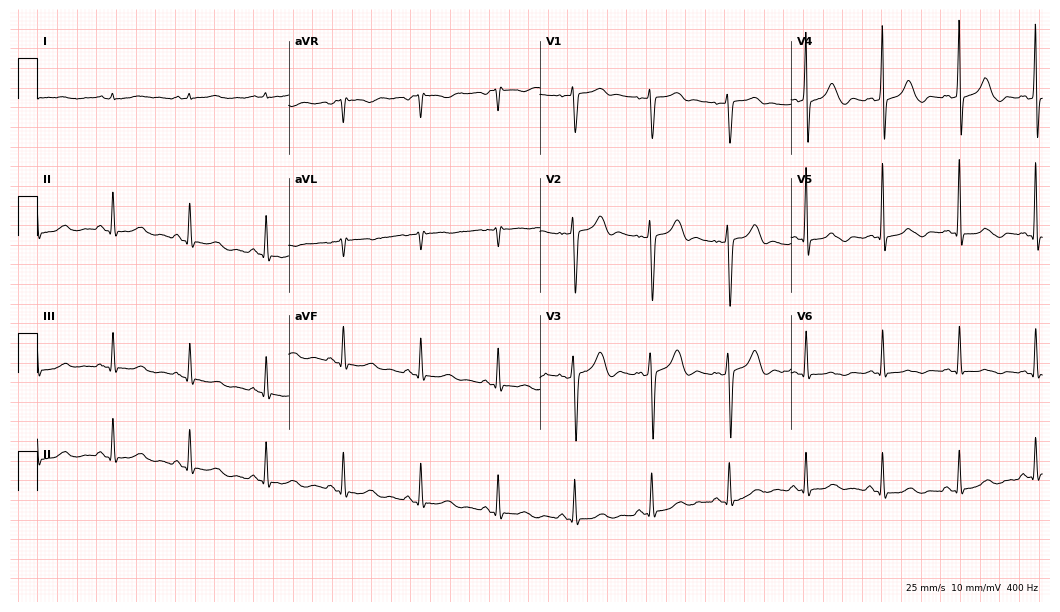
ECG (10.2-second recording at 400 Hz) — a female patient, 69 years old. Screened for six findings — first-degree AV block, right bundle branch block (RBBB), left bundle branch block (LBBB), sinus bradycardia, atrial fibrillation (AF), sinus tachycardia — none is recorded. Other findings, if any, are not listed.